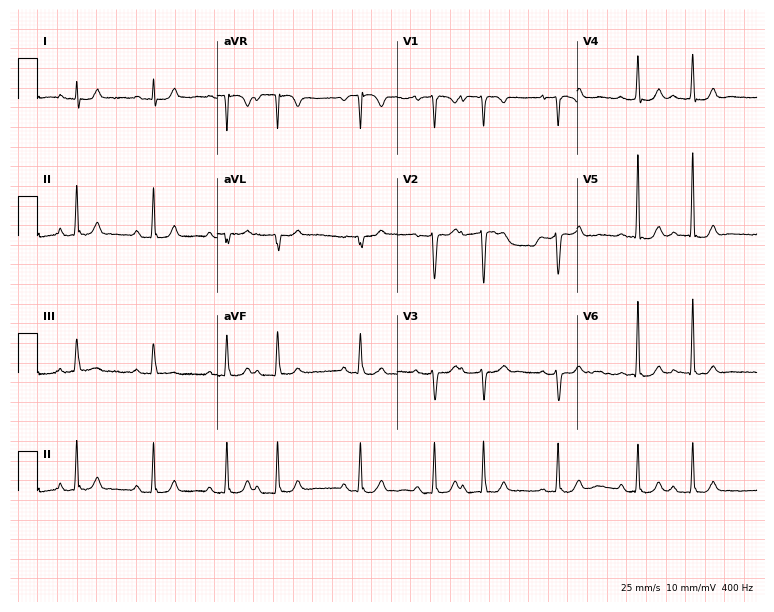
Resting 12-lead electrocardiogram (7.3-second recording at 400 Hz). Patient: an 80-year-old female. None of these six findings is recorded: first-degree AV block, right bundle branch block (RBBB), left bundle branch block (LBBB), sinus bradycardia, atrial fibrillation (AF), sinus tachycardia.